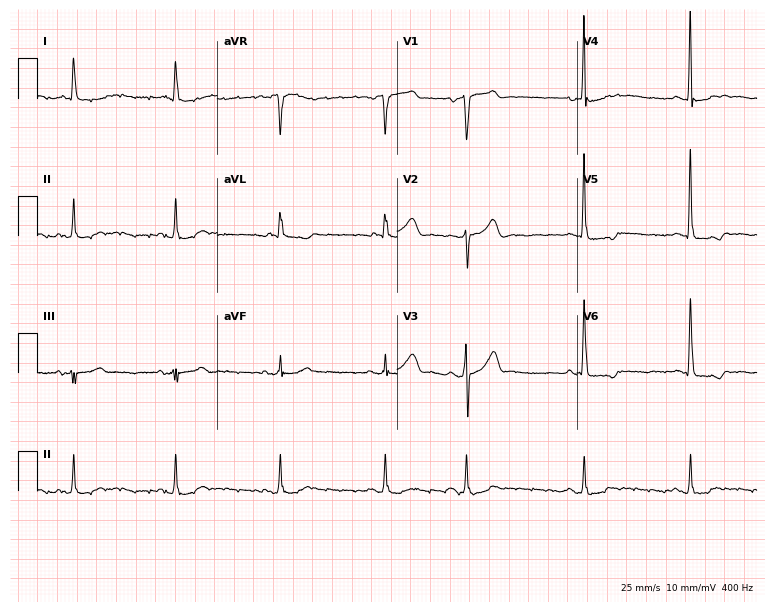
12-lead ECG from a male patient, 82 years old. Screened for six findings — first-degree AV block, right bundle branch block, left bundle branch block, sinus bradycardia, atrial fibrillation, sinus tachycardia — none is recorded. Findings outside these six are not listed.